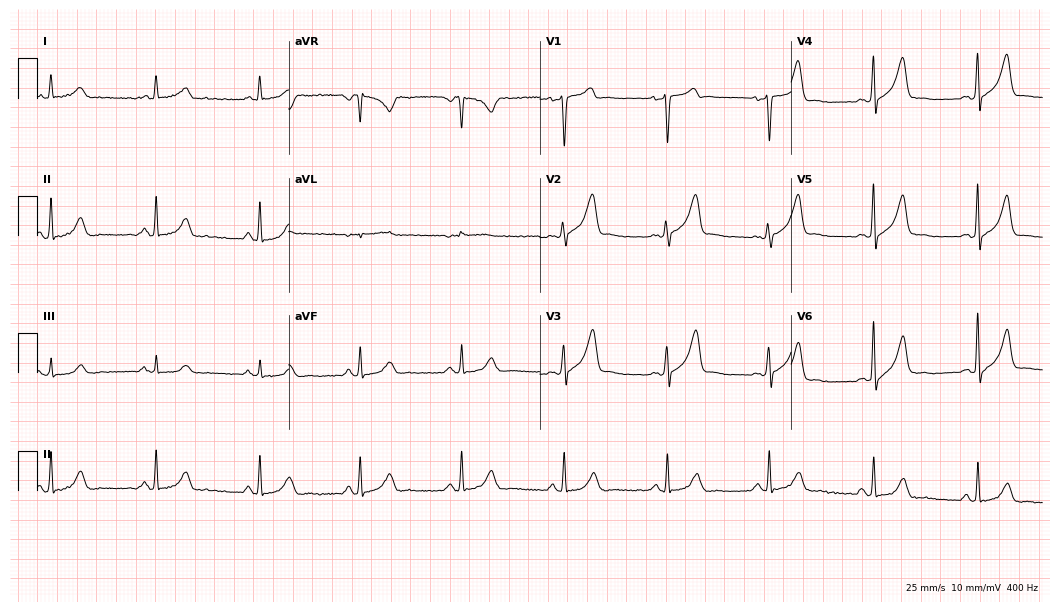
12-lead ECG from a male patient, 52 years old (10.2-second recording at 400 Hz). Recorded interpretation: within normal limits.